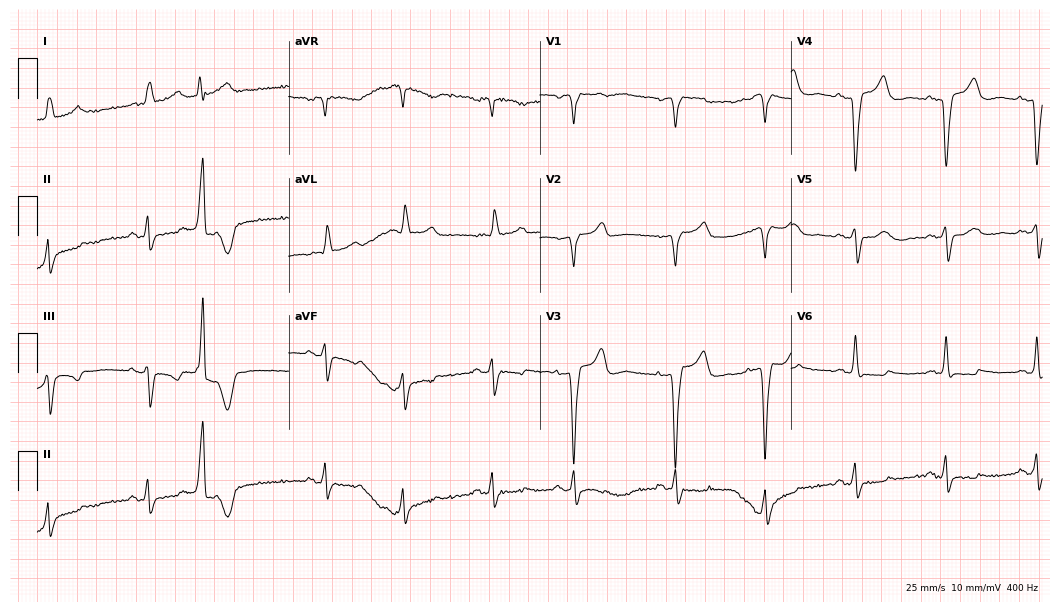
12-lead ECG from a 76-year-old female. Shows left bundle branch block.